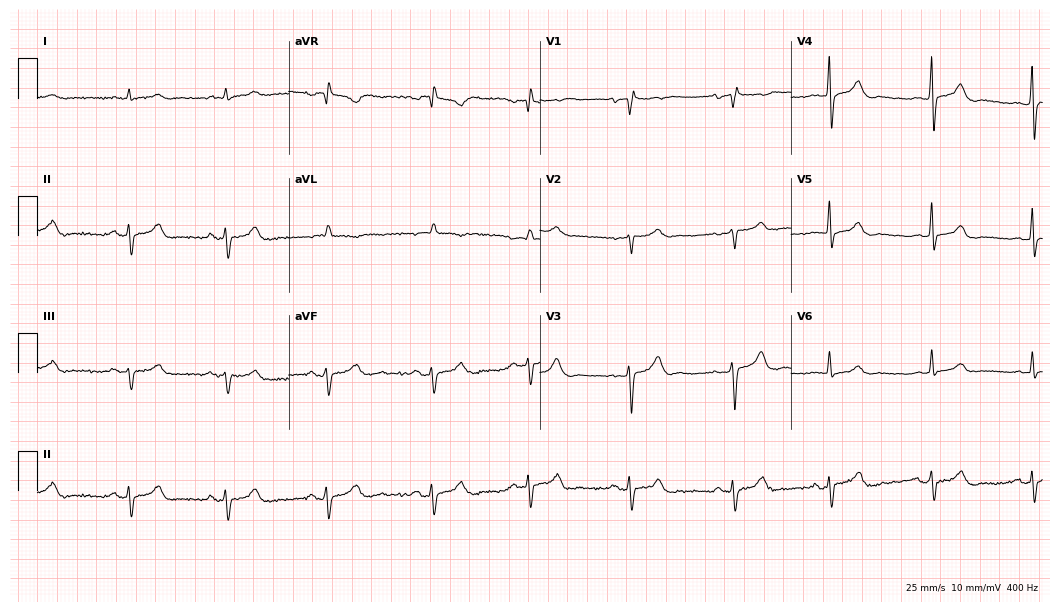
12-lead ECG from a male, 66 years old. Screened for six findings — first-degree AV block, right bundle branch block (RBBB), left bundle branch block (LBBB), sinus bradycardia, atrial fibrillation (AF), sinus tachycardia — none is recorded. Only these six findings were labelled.